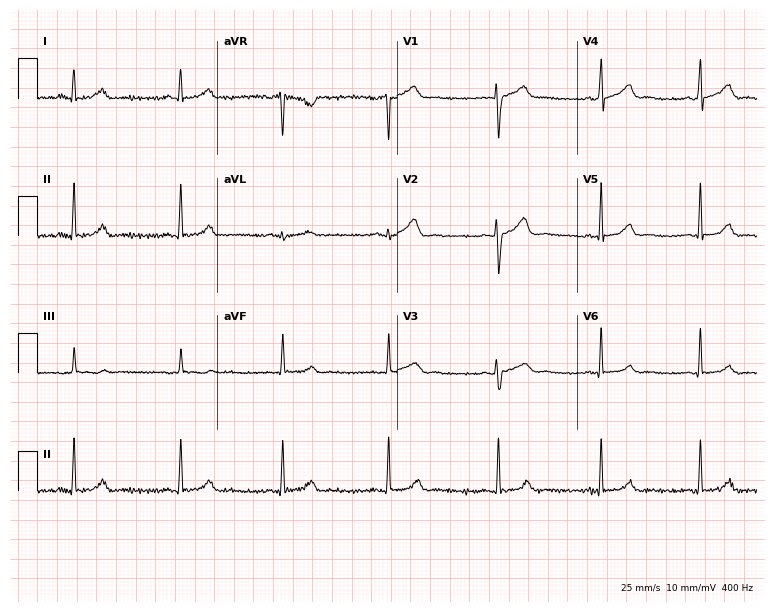
12-lead ECG from a woman, 33 years old. No first-degree AV block, right bundle branch block, left bundle branch block, sinus bradycardia, atrial fibrillation or sinus tachycardia recorded for this tracing. Other findings, if any, are not listed.